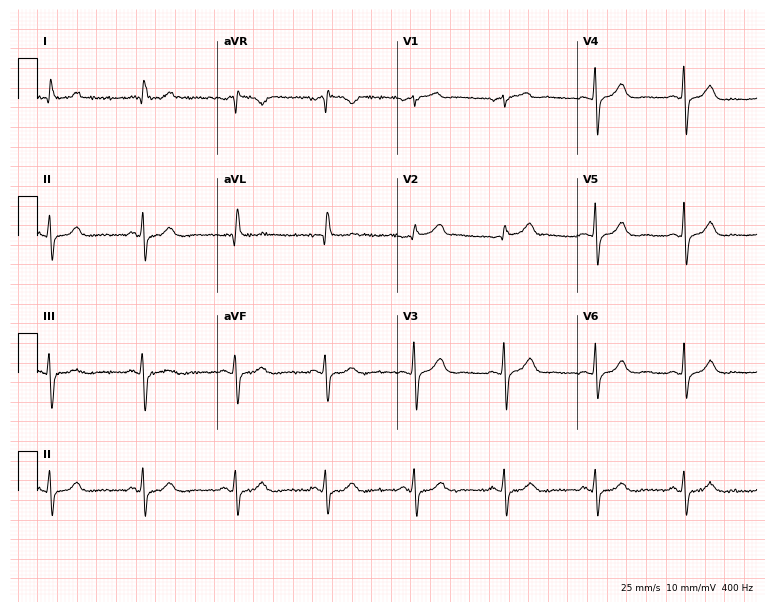
12-lead ECG from a 52-year-old man. Screened for six findings — first-degree AV block, right bundle branch block, left bundle branch block, sinus bradycardia, atrial fibrillation, sinus tachycardia — none is recorded.